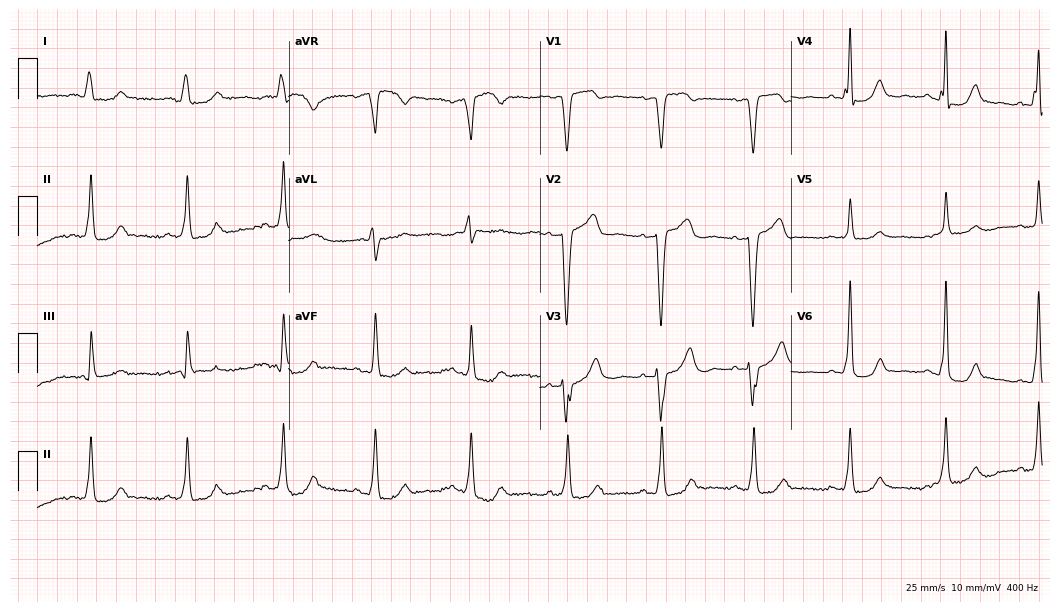
12-lead ECG from a female, 80 years old. Shows left bundle branch block.